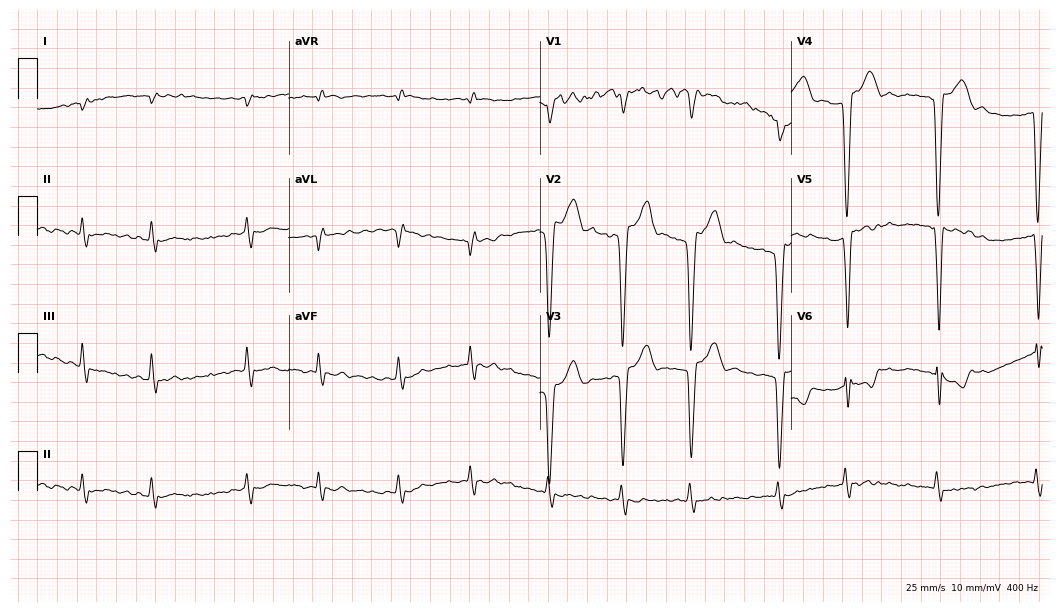
12-lead ECG from a woman, 86 years old. Shows atrial fibrillation (AF).